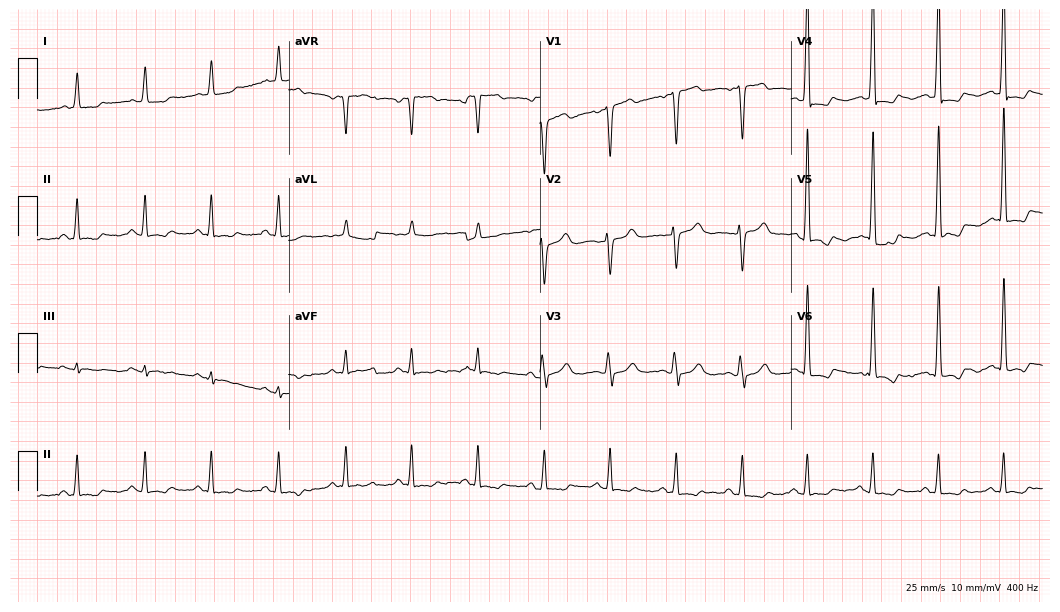
ECG — a female, 67 years old. Screened for six findings — first-degree AV block, right bundle branch block, left bundle branch block, sinus bradycardia, atrial fibrillation, sinus tachycardia — none is recorded.